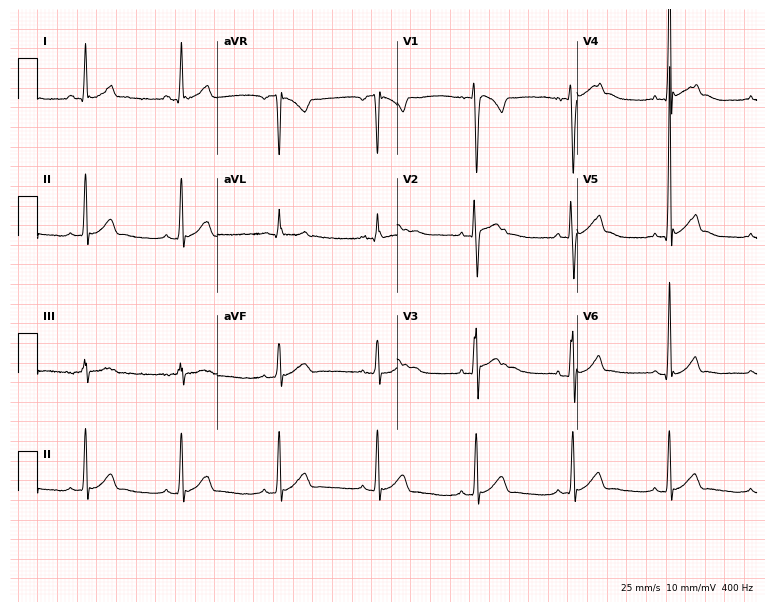
12-lead ECG (7.3-second recording at 400 Hz) from a male, 17 years old. Screened for six findings — first-degree AV block, right bundle branch block, left bundle branch block, sinus bradycardia, atrial fibrillation, sinus tachycardia — none is recorded.